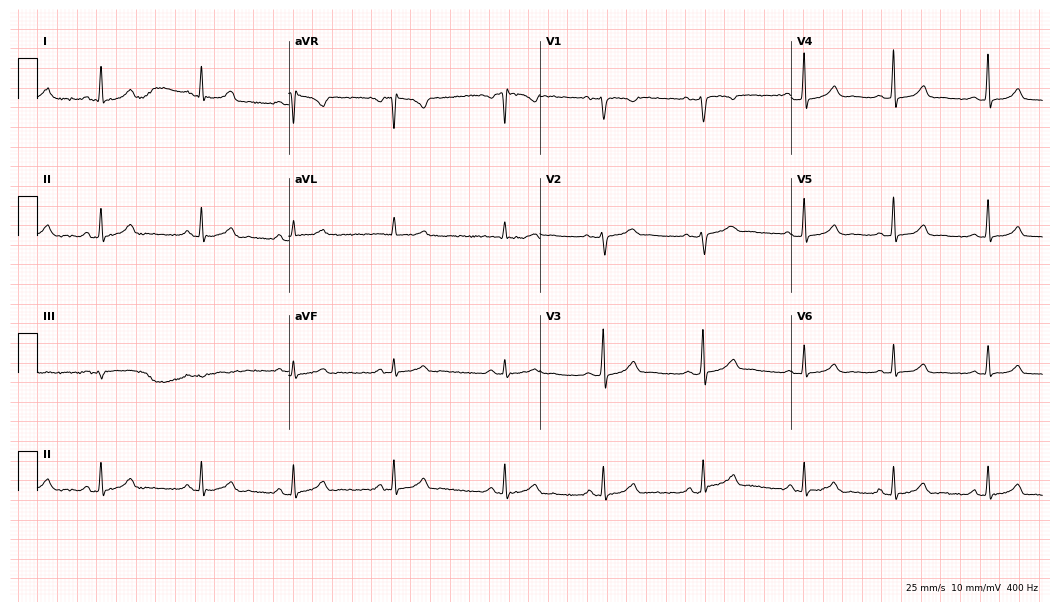
12-lead ECG from a female patient, 32 years old. Recorded interpretation: within normal limits.